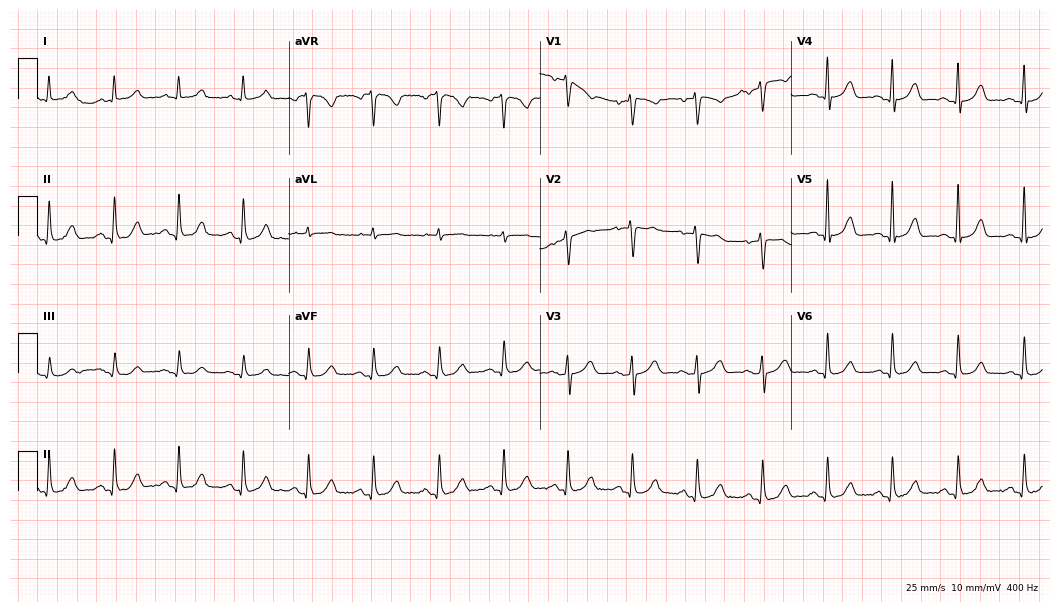
12-lead ECG from a 59-year-old female patient. Labelled as a normal ECG.